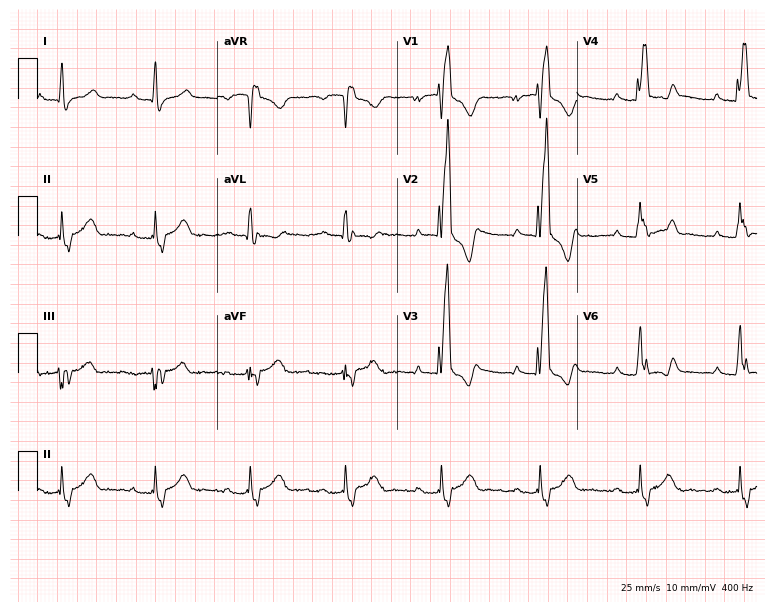
12-lead ECG (7.3-second recording at 400 Hz) from a 26-year-old male patient. Findings include first-degree AV block, right bundle branch block.